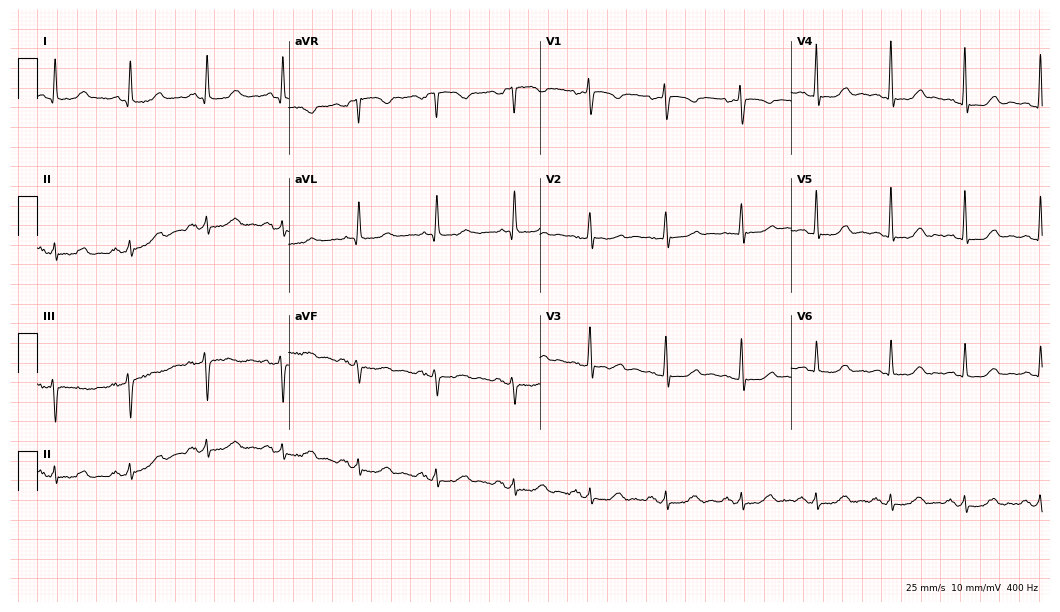
12-lead ECG (10.2-second recording at 400 Hz) from a 75-year-old female patient. Screened for six findings — first-degree AV block, right bundle branch block, left bundle branch block, sinus bradycardia, atrial fibrillation, sinus tachycardia — none is recorded.